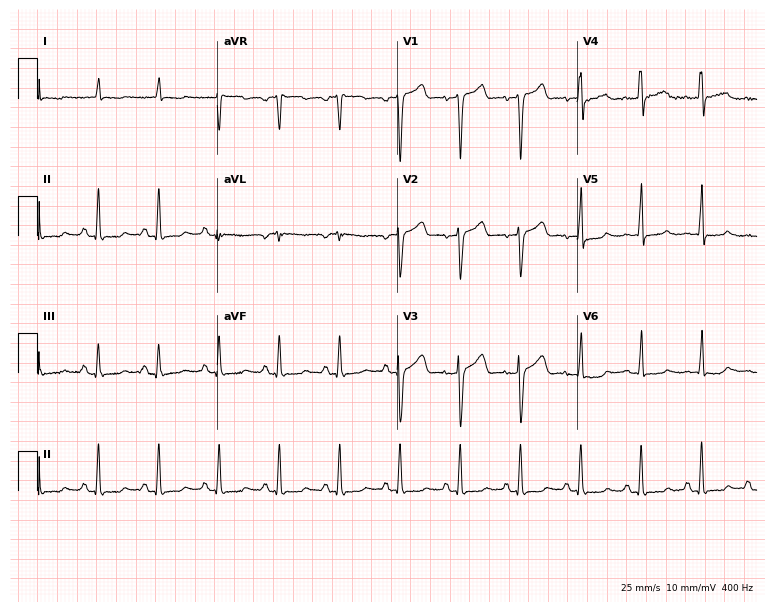
Standard 12-lead ECG recorded from an 84-year-old male. None of these six findings is recorded: first-degree AV block, right bundle branch block, left bundle branch block, sinus bradycardia, atrial fibrillation, sinus tachycardia.